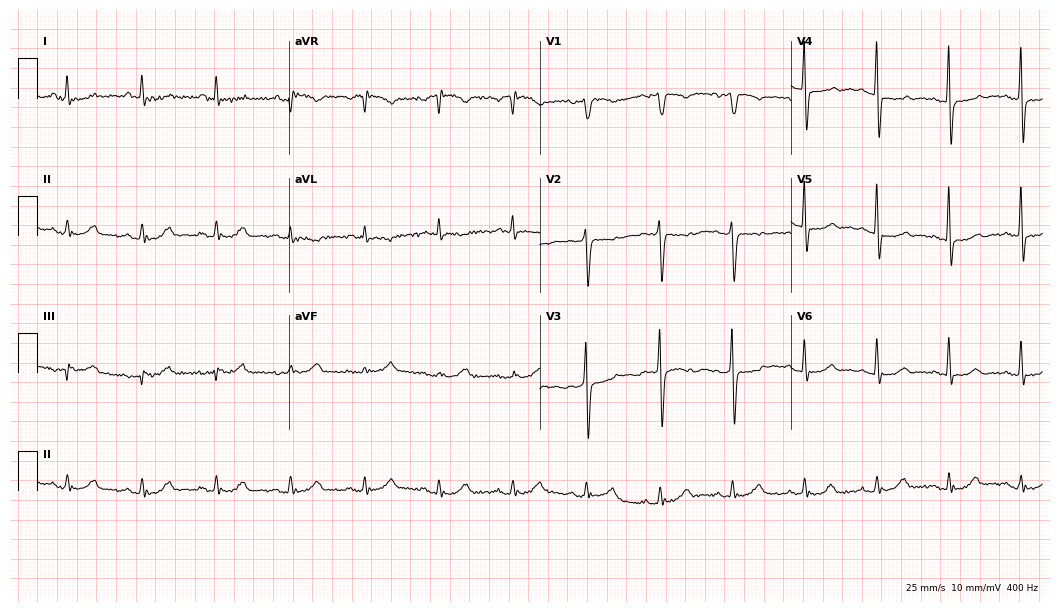
Electrocardiogram, a female patient, 69 years old. Of the six screened findings (first-degree AV block, right bundle branch block, left bundle branch block, sinus bradycardia, atrial fibrillation, sinus tachycardia), none is recorded.